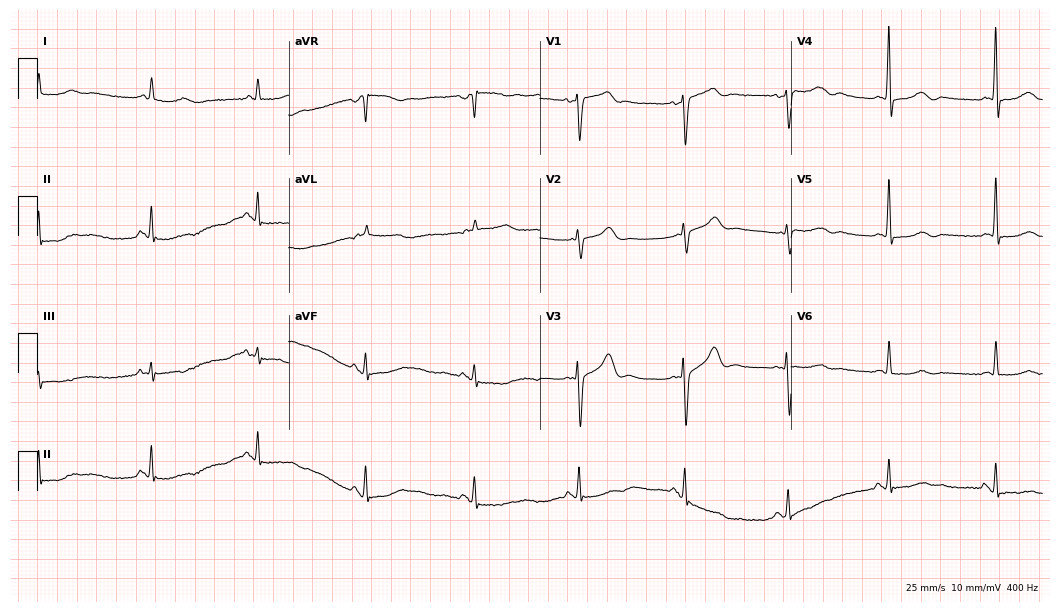
Standard 12-lead ECG recorded from a 75-year-old female patient. None of these six findings is recorded: first-degree AV block, right bundle branch block (RBBB), left bundle branch block (LBBB), sinus bradycardia, atrial fibrillation (AF), sinus tachycardia. Only these six findings were labelled.